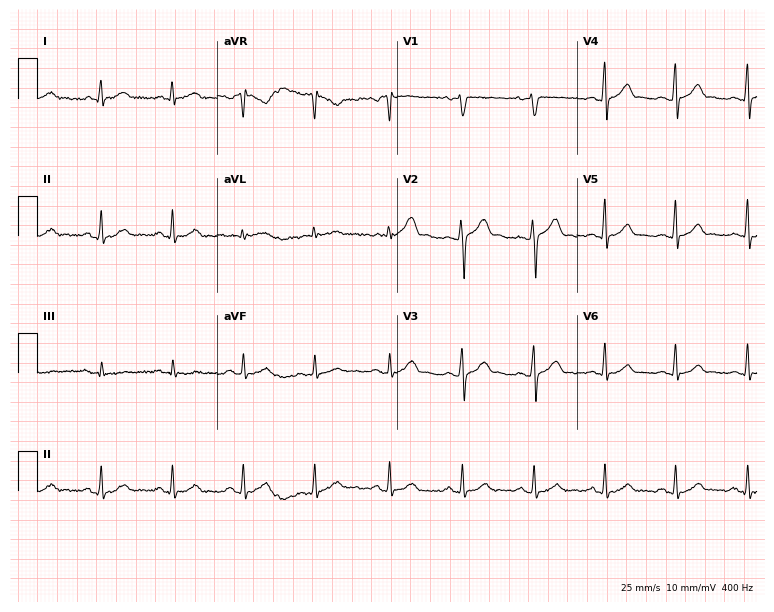
Resting 12-lead electrocardiogram (7.3-second recording at 400 Hz). Patient: a 46-year-old man. Read as a normal ECG.